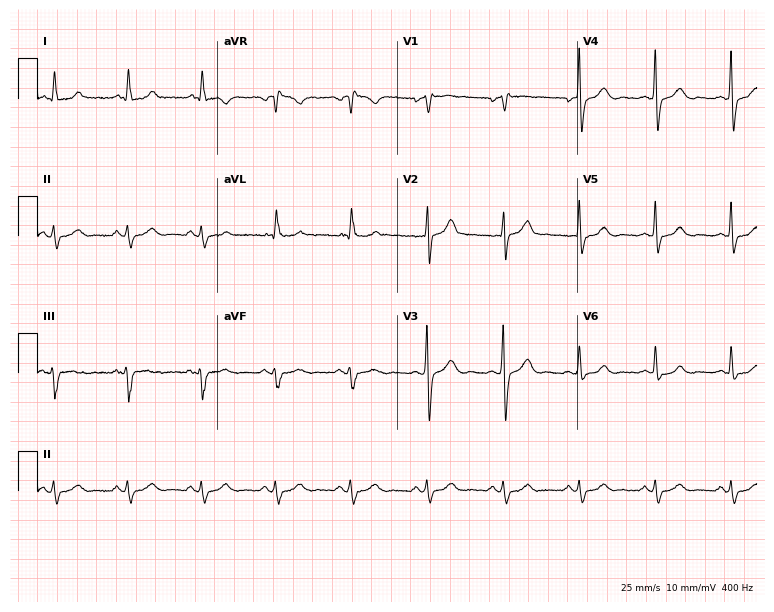
Electrocardiogram, a male, 55 years old. Of the six screened findings (first-degree AV block, right bundle branch block, left bundle branch block, sinus bradycardia, atrial fibrillation, sinus tachycardia), none is recorded.